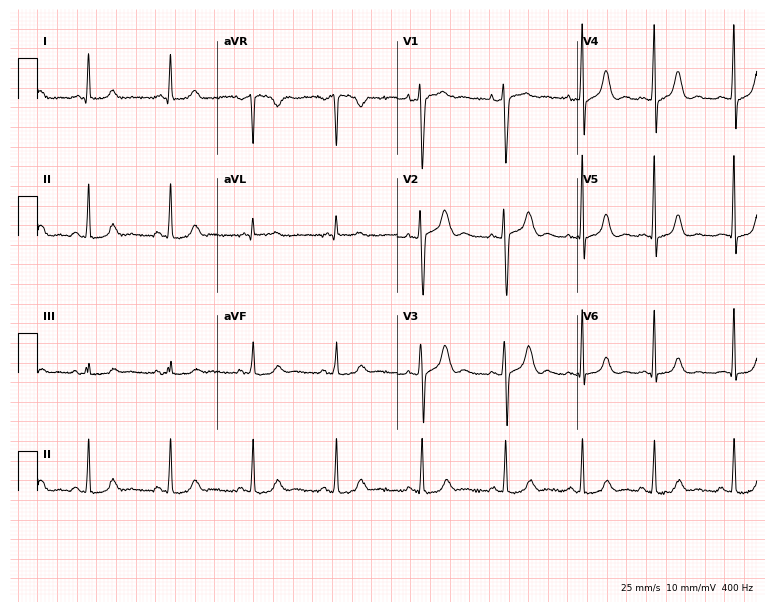
Resting 12-lead electrocardiogram (7.3-second recording at 400 Hz). Patient: a 24-year-old female. None of these six findings is recorded: first-degree AV block, right bundle branch block, left bundle branch block, sinus bradycardia, atrial fibrillation, sinus tachycardia. Findings outside these six are not listed.